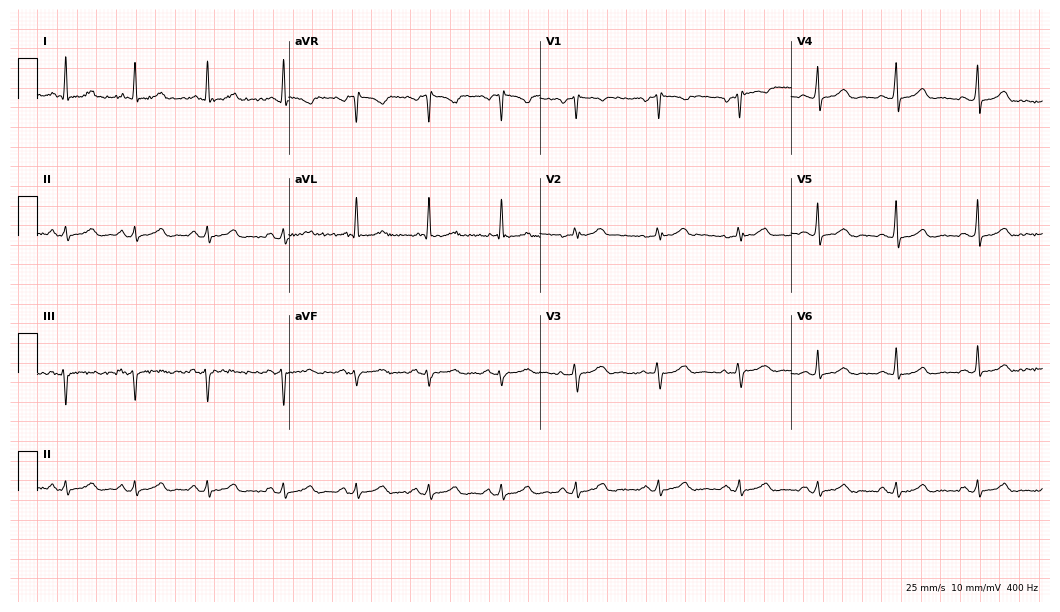
12-lead ECG (10.2-second recording at 400 Hz) from a female patient, 50 years old. Screened for six findings — first-degree AV block, right bundle branch block (RBBB), left bundle branch block (LBBB), sinus bradycardia, atrial fibrillation (AF), sinus tachycardia — none is recorded. Other findings, if any, are not listed.